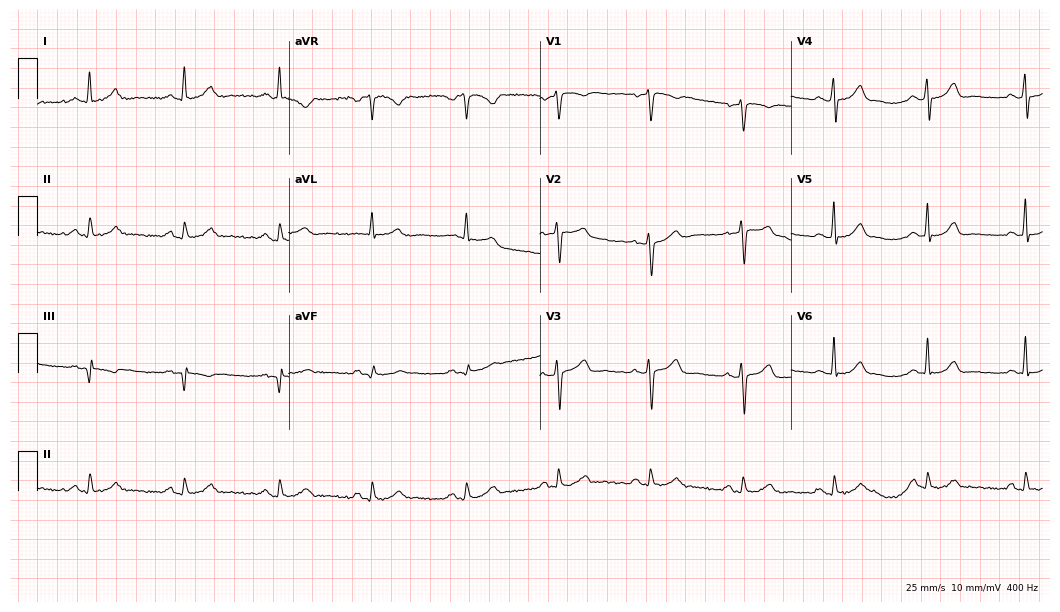
Standard 12-lead ECG recorded from a 56-year-old female patient. None of these six findings is recorded: first-degree AV block, right bundle branch block, left bundle branch block, sinus bradycardia, atrial fibrillation, sinus tachycardia.